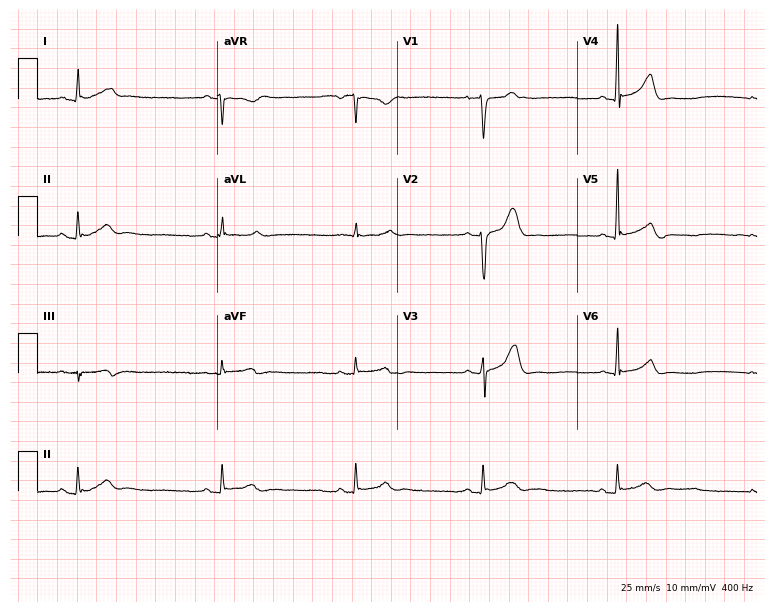
Standard 12-lead ECG recorded from a 62-year-old man (7.3-second recording at 400 Hz). None of these six findings is recorded: first-degree AV block, right bundle branch block, left bundle branch block, sinus bradycardia, atrial fibrillation, sinus tachycardia.